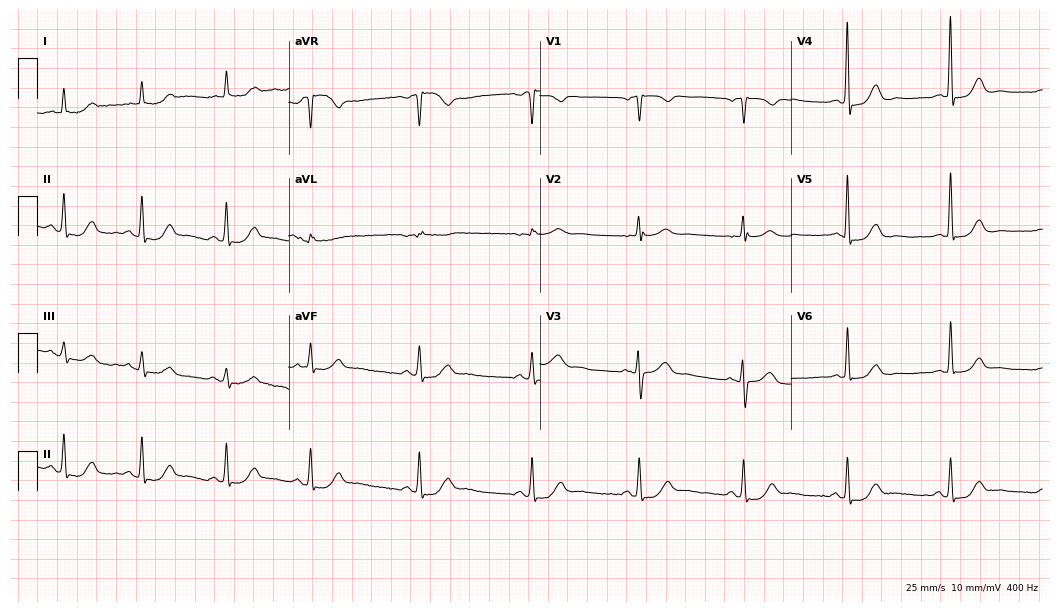
Resting 12-lead electrocardiogram. Patient: a 66-year-old woman. Read as a normal ECG.